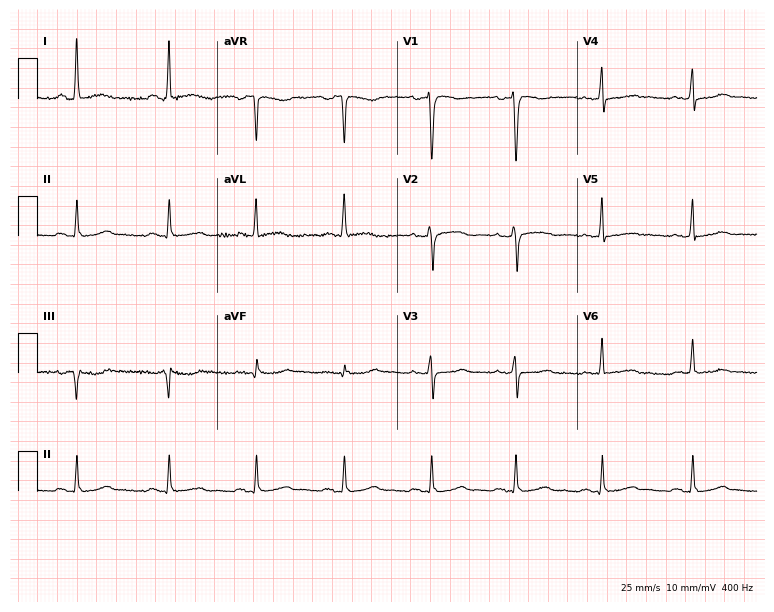
12-lead ECG from a female, 41 years old (7.3-second recording at 400 Hz). No first-degree AV block, right bundle branch block, left bundle branch block, sinus bradycardia, atrial fibrillation or sinus tachycardia recorded for this tracing.